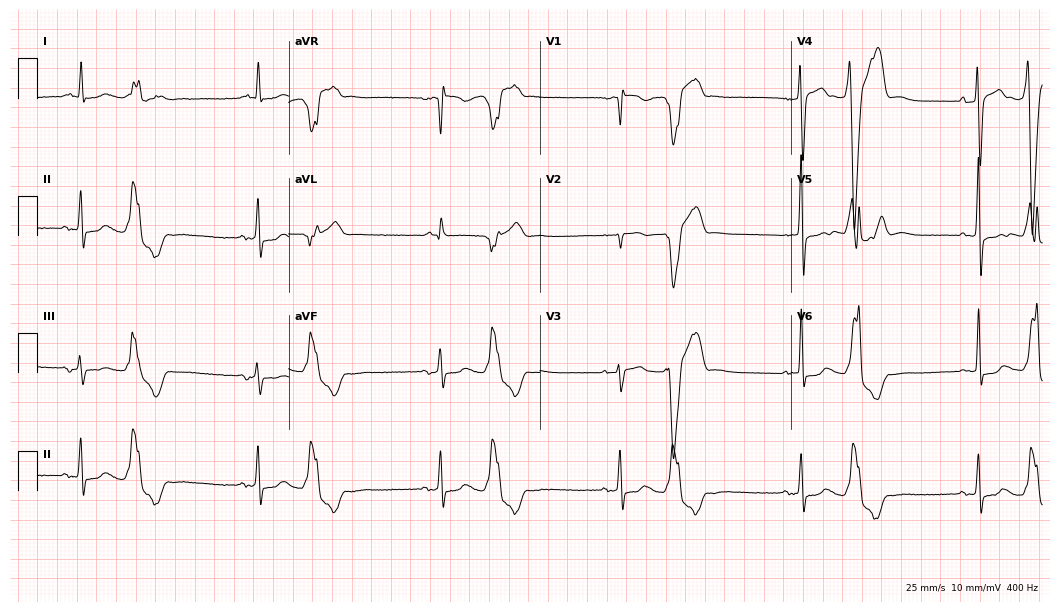
Resting 12-lead electrocardiogram. Patient: a 64-year-old female. None of these six findings is recorded: first-degree AV block, right bundle branch block, left bundle branch block, sinus bradycardia, atrial fibrillation, sinus tachycardia.